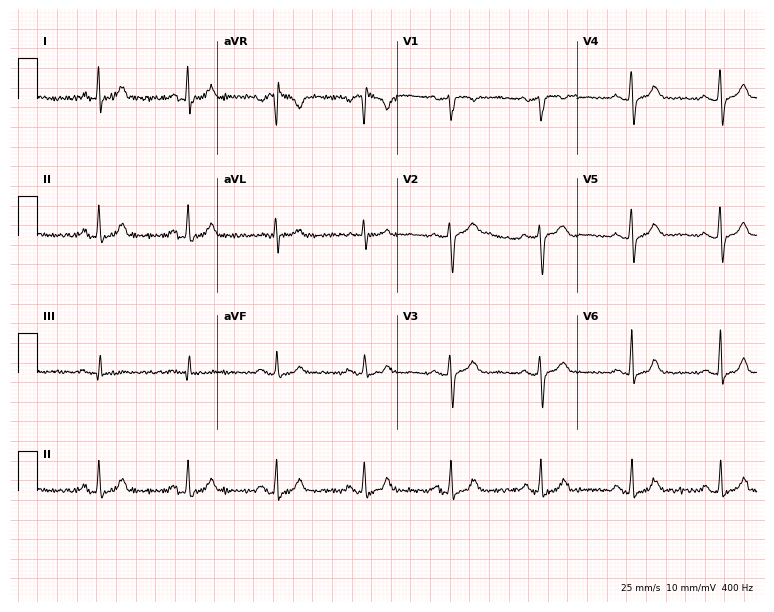
ECG (7.3-second recording at 400 Hz) — a 54-year-old female patient. Screened for six findings — first-degree AV block, right bundle branch block (RBBB), left bundle branch block (LBBB), sinus bradycardia, atrial fibrillation (AF), sinus tachycardia — none is recorded.